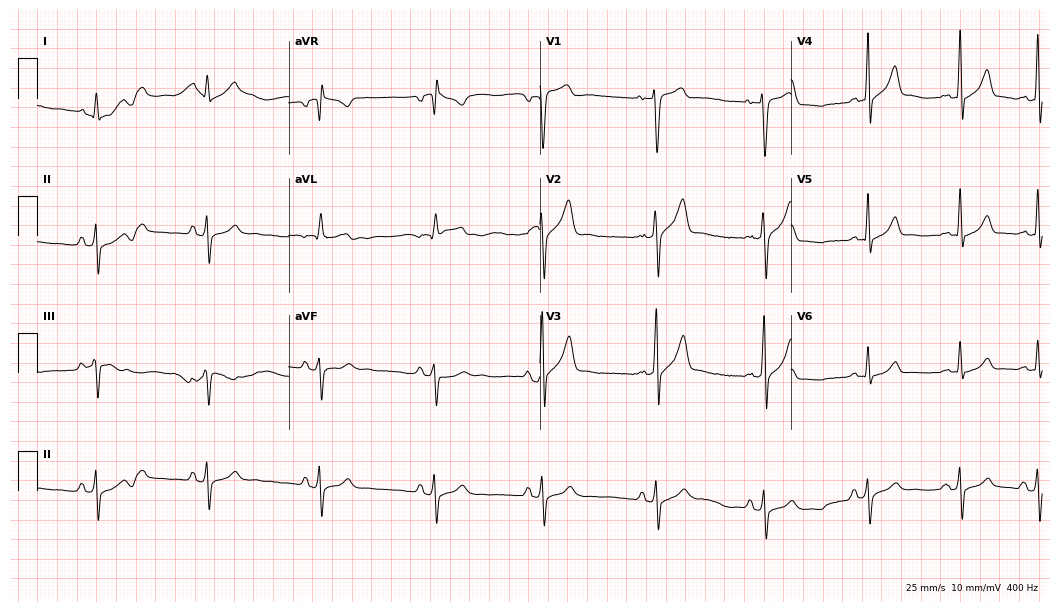
12-lead ECG (10.2-second recording at 400 Hz) from a 19-year-old male. Screened for six findings — first-degree AV block, right bundle branch block, left bundle branch block, sinus bradycardia, atrial fibrillation, sinus tachycardia — none is recorded.